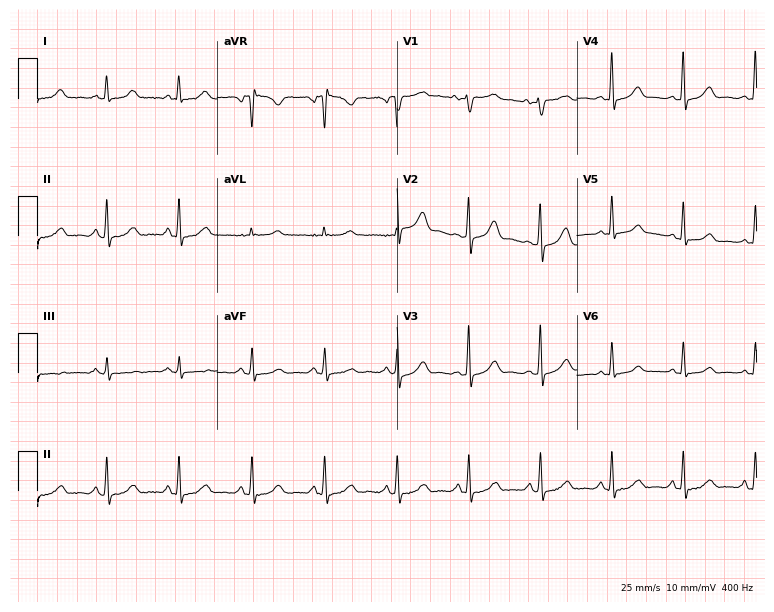
Electrocardiogram (7.3-second recording at 400 Hz), a 43-year-old female patient. Of the six screened findings (first-degree AV block, right bundle branch block, left bundle branch block, sinus bradycardia, atrial fibrillation, sinus tachycardia), none is recorded.